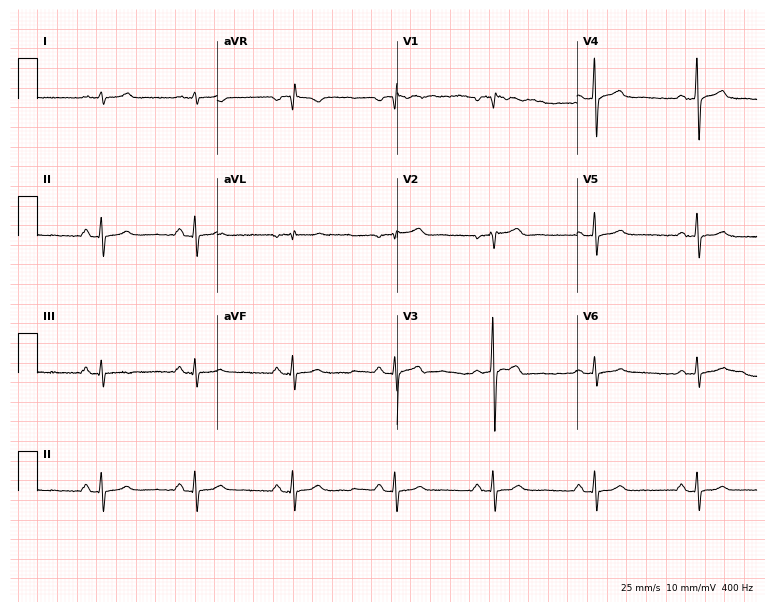
Electrocardiogram (7.3-second recording at 400 Hz), a male patient, 47 years old. Overall reading on record: normal ECG.